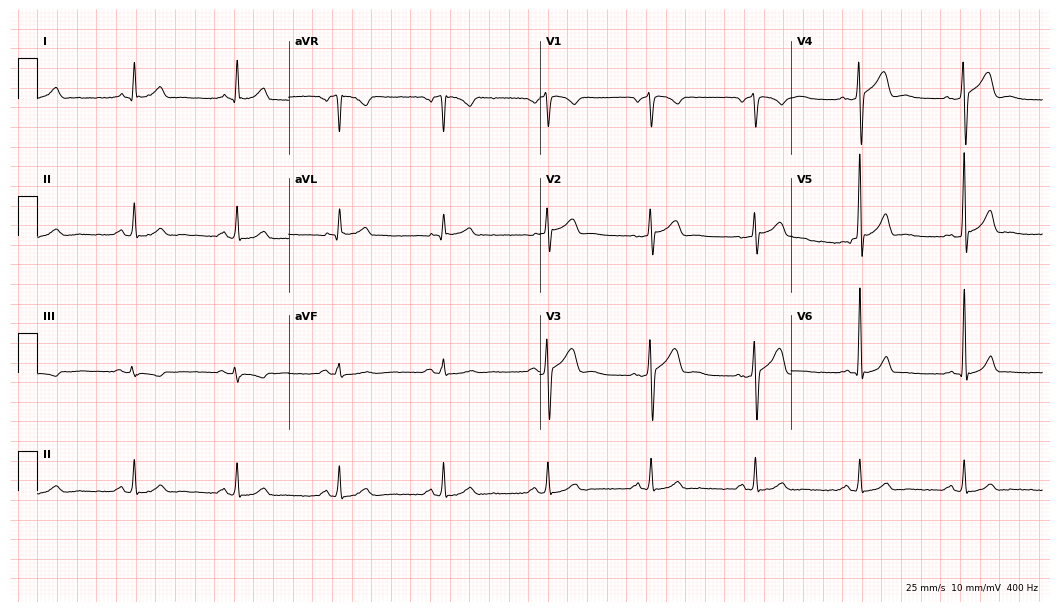
Resting 12-lead electrocardiogram. Patient: a man, 45 years old. None of these six findings is recorded: first-degree AV block, right bundle branch block (RBBB), left bundle branch block (LBBB), sinus bradycardia, atrial fibrillation (AF), sinus tachycardia. Other findings, if any, are not listed.